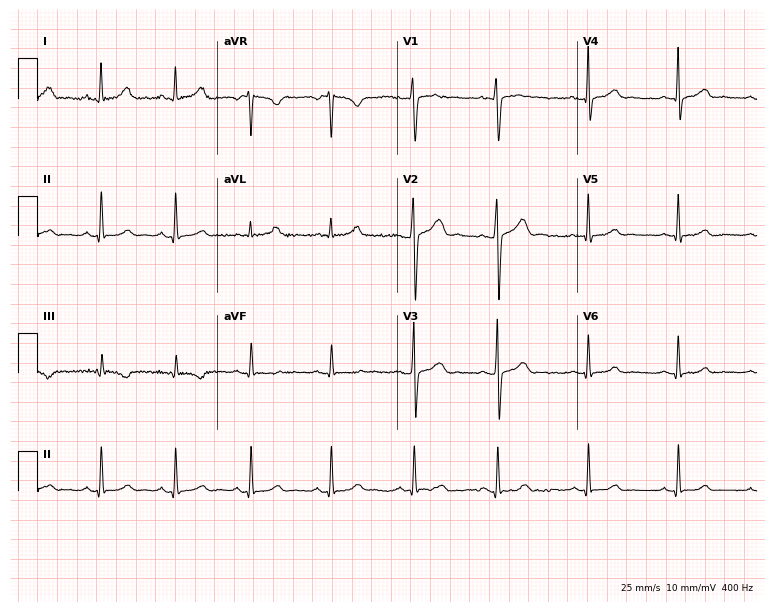
Standard 12-lead ECG recorded from a 29-year-old woman (7.3-second recording at 400 Hz). Read as a normal ECG.